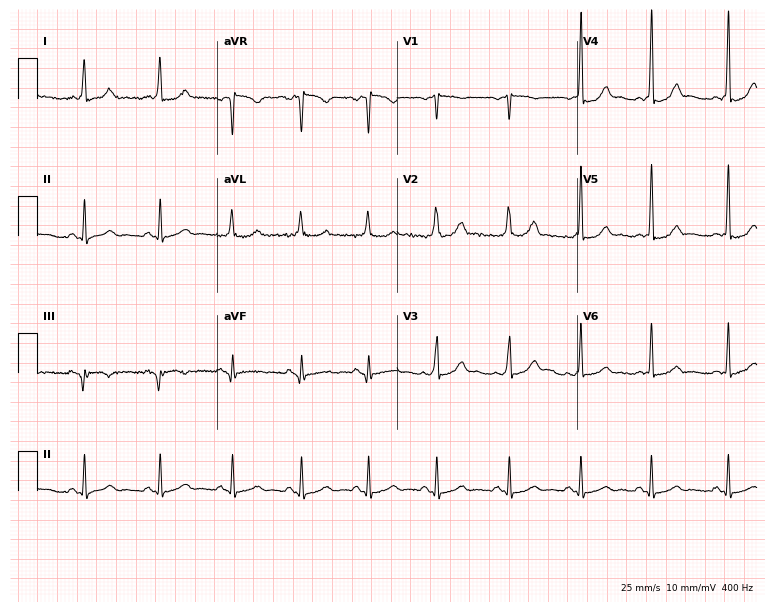
Electrocardiogram (7.3-second recording at 400 Hz), a female patient, 32 years old. Of the six screened findings (first-degree AV block, right bundle branch block, left bundle branch block, sinus bradycardia, atrial fibrillation, sinus tachycardia), none is recorded. Only these six findings were labelled.